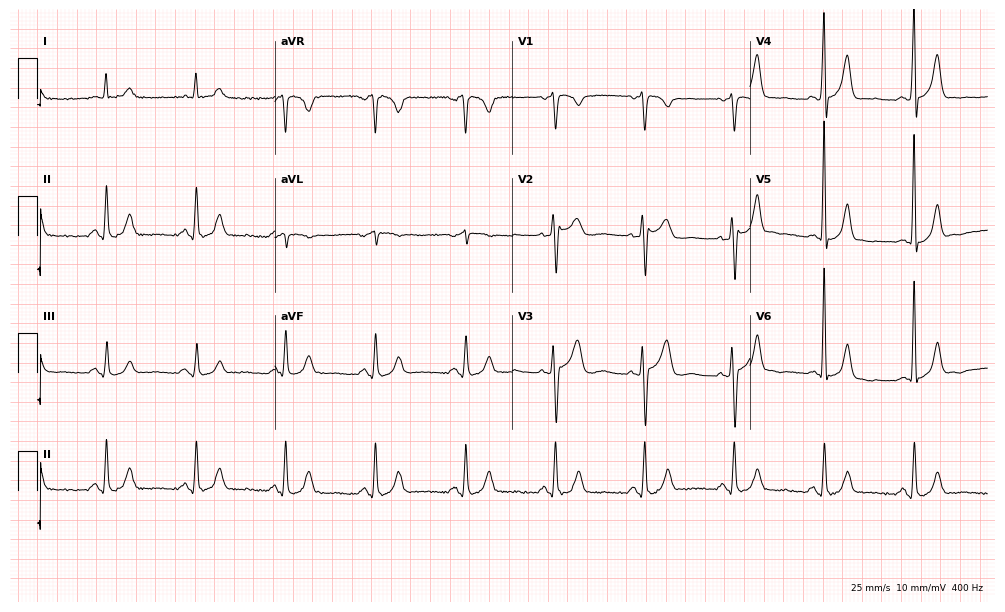
12-lead ECG (9.7-second recording at 400 Hz) from a male, 83 years old. Labelled as a normal ECG.